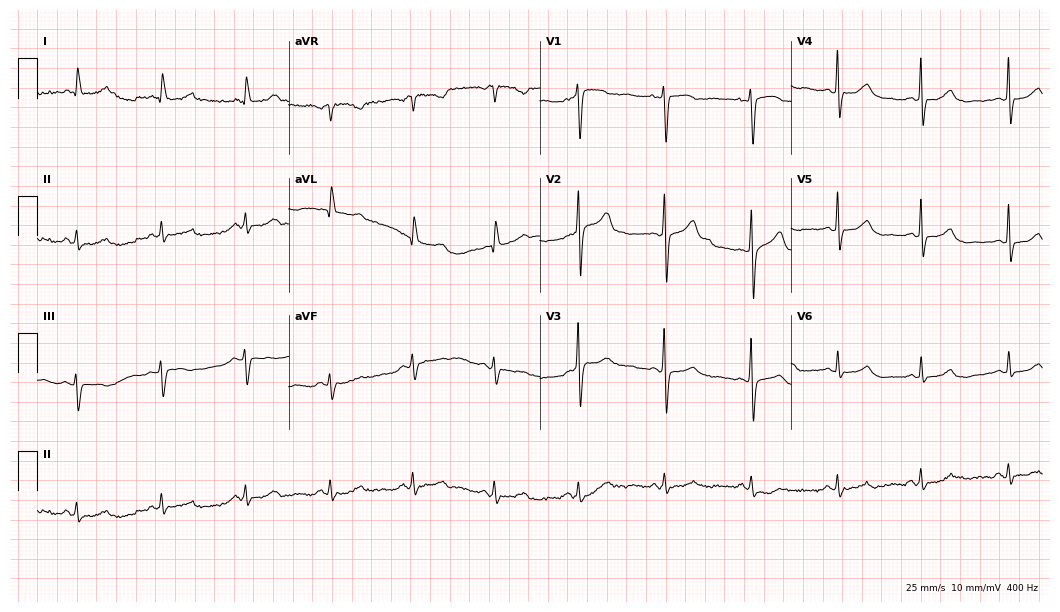
Standard 12-lead ECG recorded from a female patient, 69 years old. None of these six findings is recorded: first-degree AV block, right bundle branch block, left bundle branch block, sinus bradycardia, atrial fibrillation, sinus tachycardia.